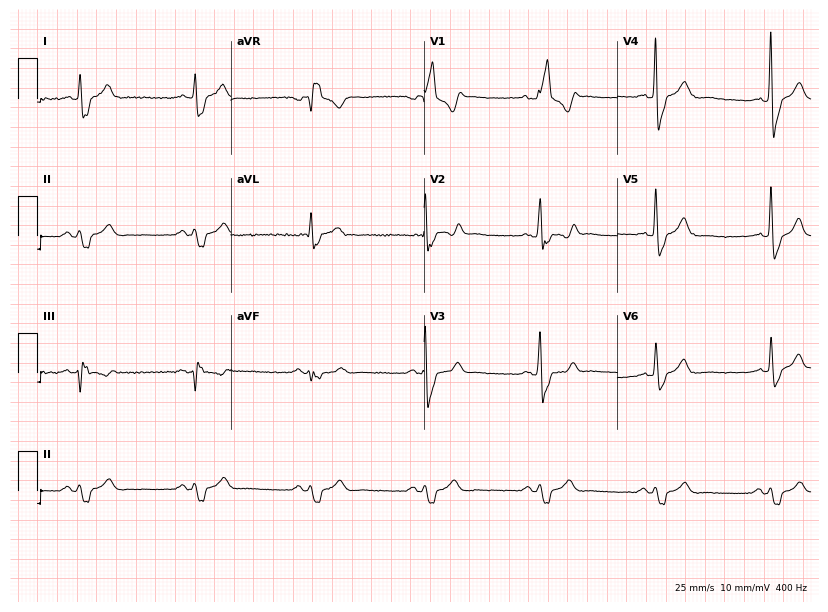
Electrocardiogram, a man, 68 years old. Interpretation includes right bundle branch block.